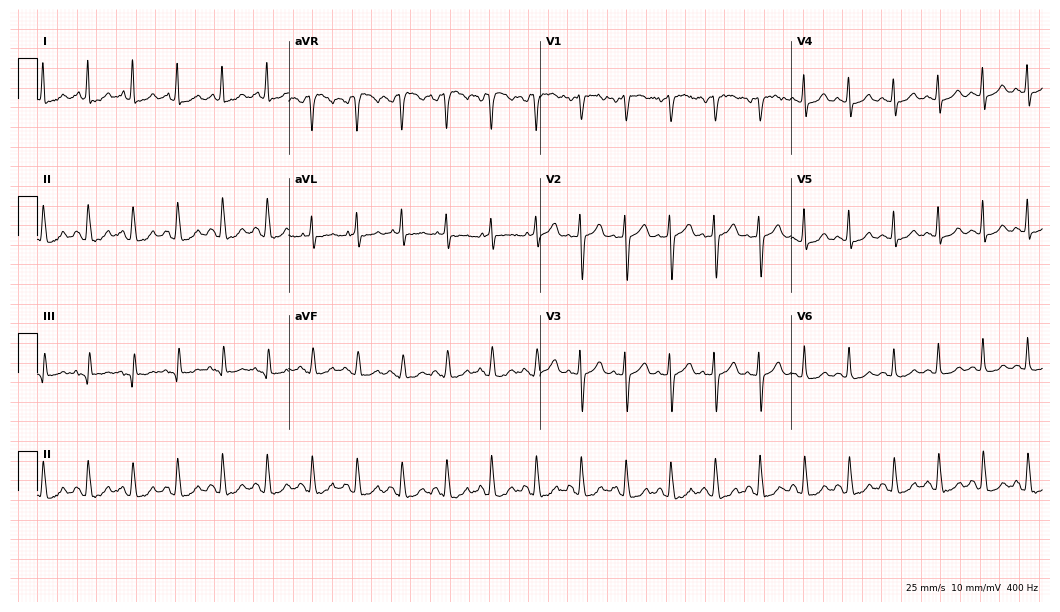
ECG (10.2-second recording at 400 Hz) — a 52-year-old female patient. Screened for six findings — first-degree AV block, right bundle branch block, left bundle branch block, sinus bradycardia, atrial fibrillation, sinus tachycardia — none is recorded.